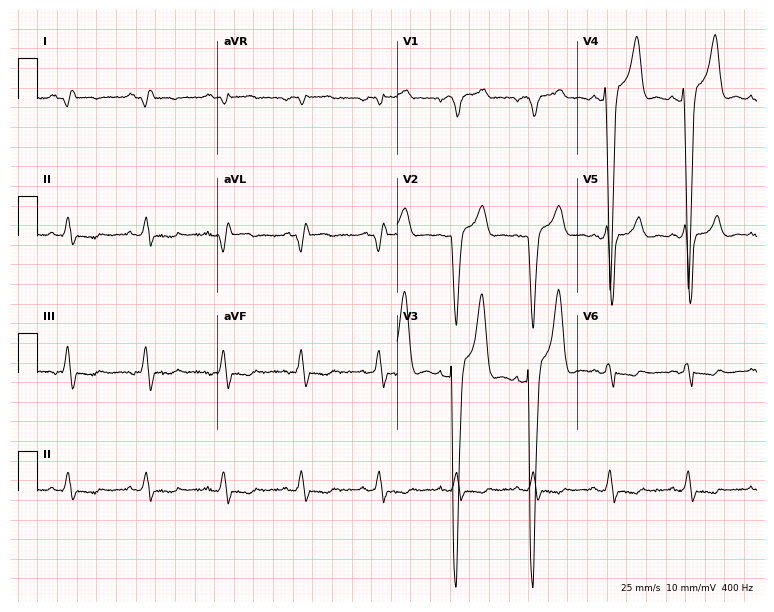
Electrocardiogram, a male patient, 69 years old. Interpretation includes left bundle branch block (LBBB).